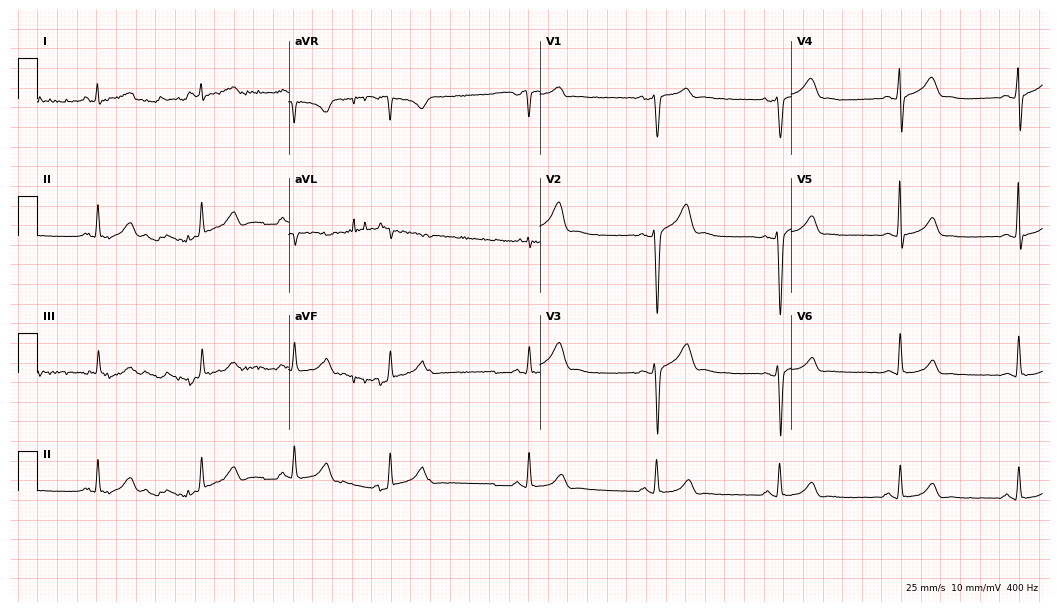
ECG (10.2-second recording at 400 Hz) — a male patient, 35 years old. Labelled as a normal ECG.